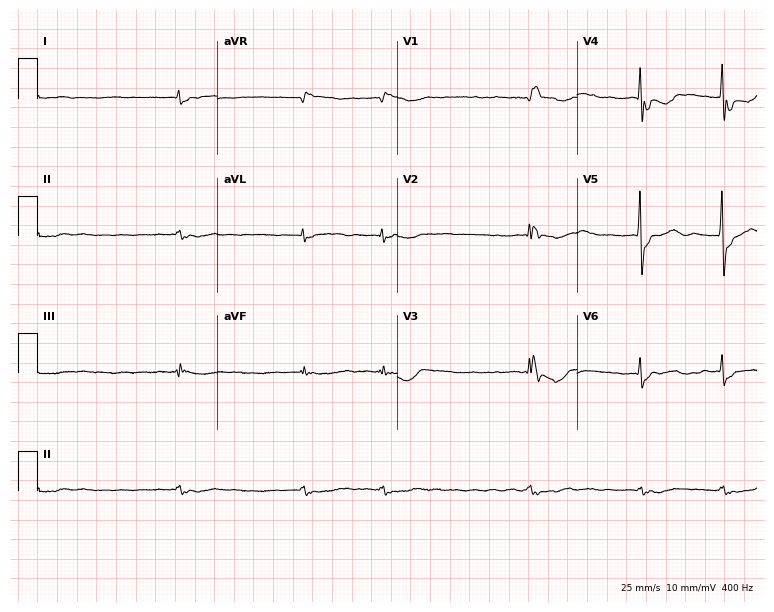
Electrocardiogram, a 76-year-old male. Interpretation includes right bundle branch block, atrial fibrillation.